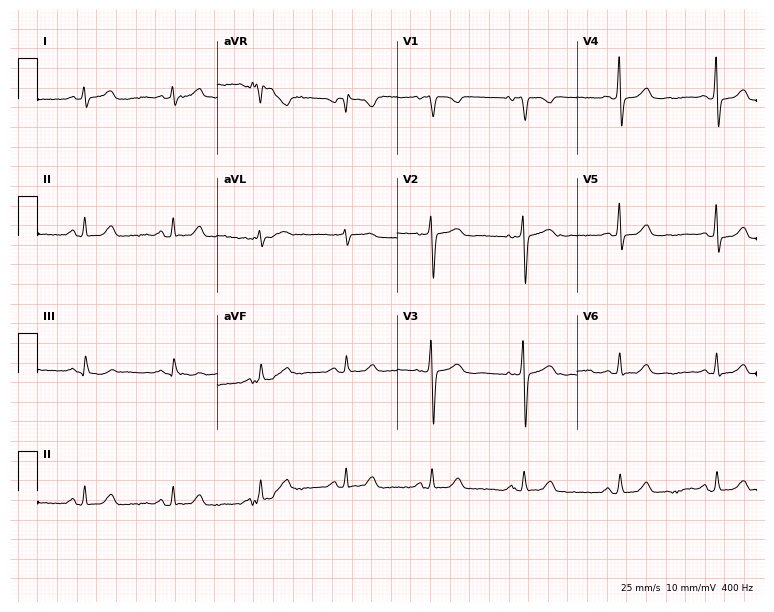
Electrocardiogram (7.3-second recording at 400 Hz), a 47-year-old woman. Of the six screened findings (first-degree AV block, right bundle branch block, left bundle branch block, sinus bradycardia, atrial fibrillation, sinus tachycardia), none is recorded.